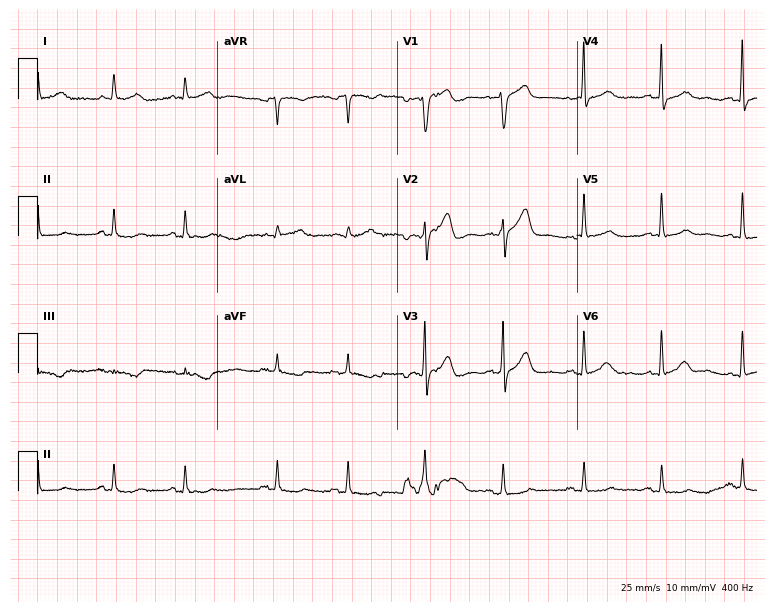
ECG (7.3-second recording at 400 Hz) — a 73-year-old man. Screened for six findings — first-degree AV block, right bundle branch block (RBBB), left bundle branch block (LBBB), sinus bradycardia, atrial fibrillation (AF), sinus tachycardia — none is recorded.